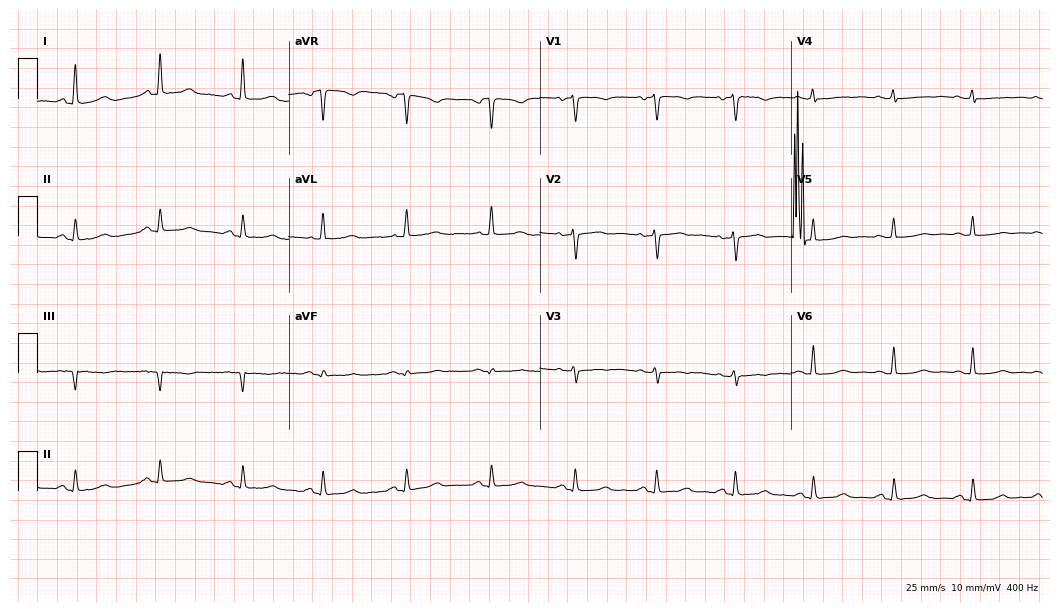
12-lead ECG (10.2-second recording at 400 Hz) from a woman, 66 years old. Screened for six findings — first-degree AV block, right bundle branch block (RBBB), left bundle branch block (LBBB), sinus bradycardia, atrial fibrillation (AF), sinus tachycardia — none is recorded. Findings outside these six are not listed.